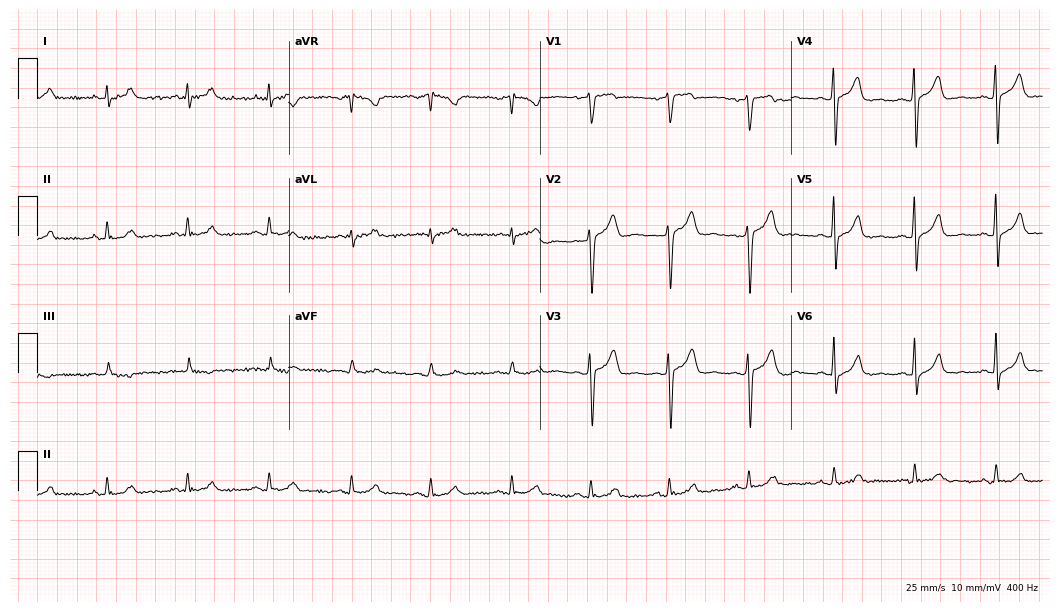
Resting 12-lead electrocardiogram (10.2-second recording at 400 Hz). Patient: a 44-year-old man. Read as a normal ECG.